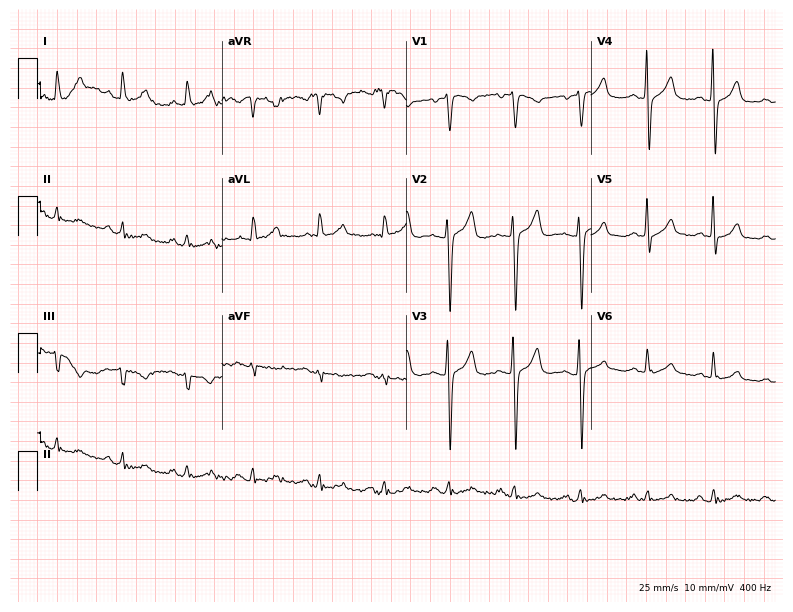
Resting 12-lead electrocardiogram (7.5-second recording at 400 Hz). Patient: a female, 40 years old. Read as a normal ECG.